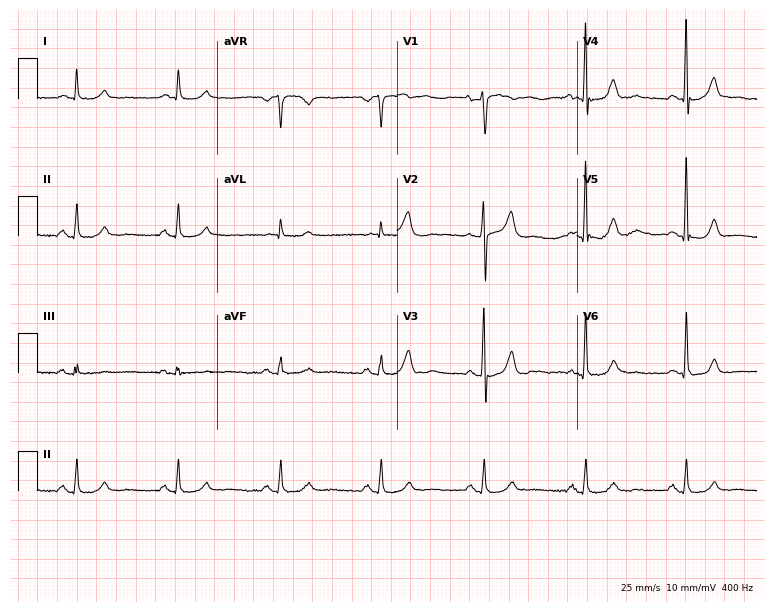
Standard 12-lead ECG recorded from an 80-year-old man (7.3-second recording at 400 Hz). Read as a normal ECG.